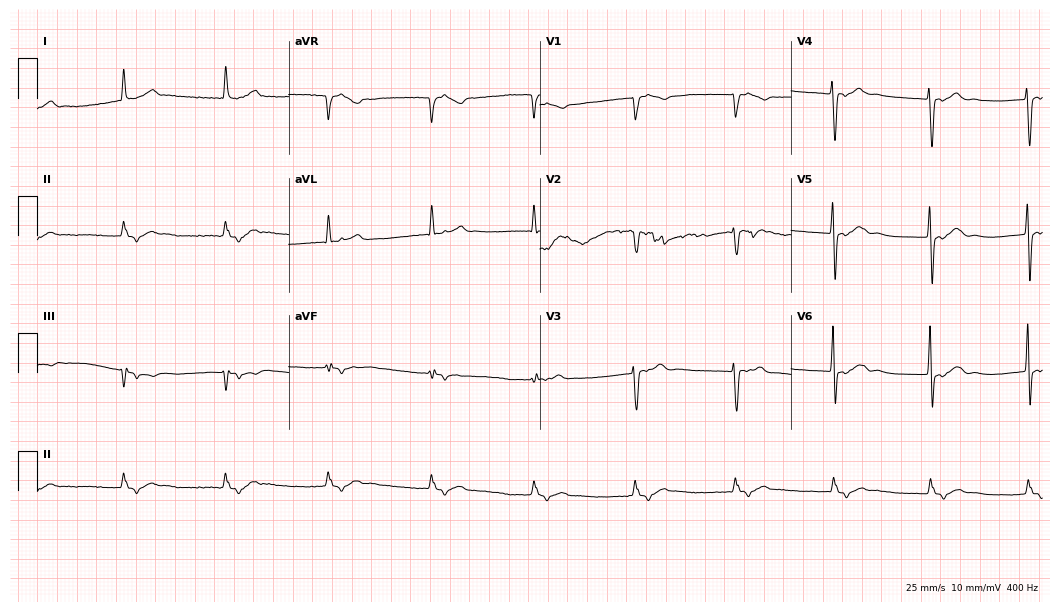
Standard 12-lead ECG recorded from a 73-year-old female patient (10.2-second recording at 400 Hz). None of these six findings is recorded: first-degree AV block, right bundle branch block, left bundle branch block, sinus bradycardia, atrial fibrillation, sinus tachycardia. Findings outside these six are not listed.